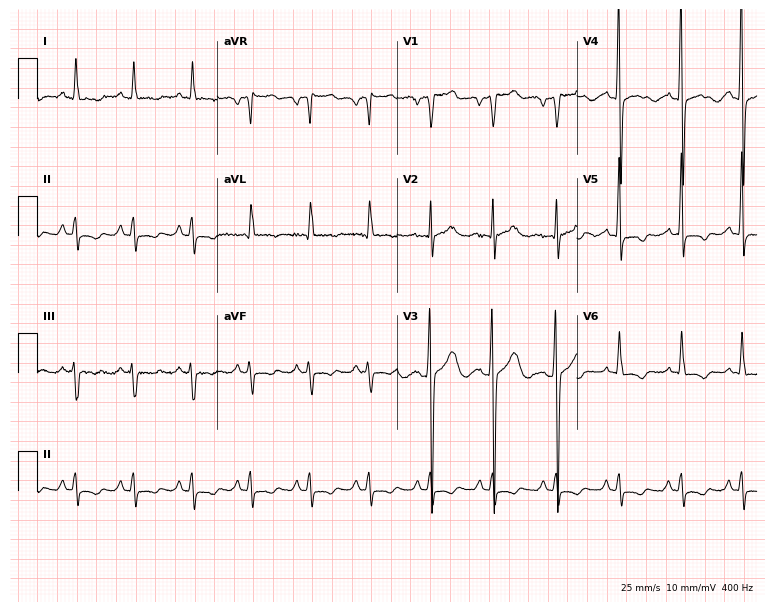
Resting 12-lead electrocardiogram (7.3-second recording at 400 Hz). Patient: a 53-year-old man. None of these six findings is recorded: first-degree AV block, right bundle branch block, left bundle branch block, sinus bradycardia, atrial fibrillation, sinus tachycardia. Other findings, if any, are not listed.